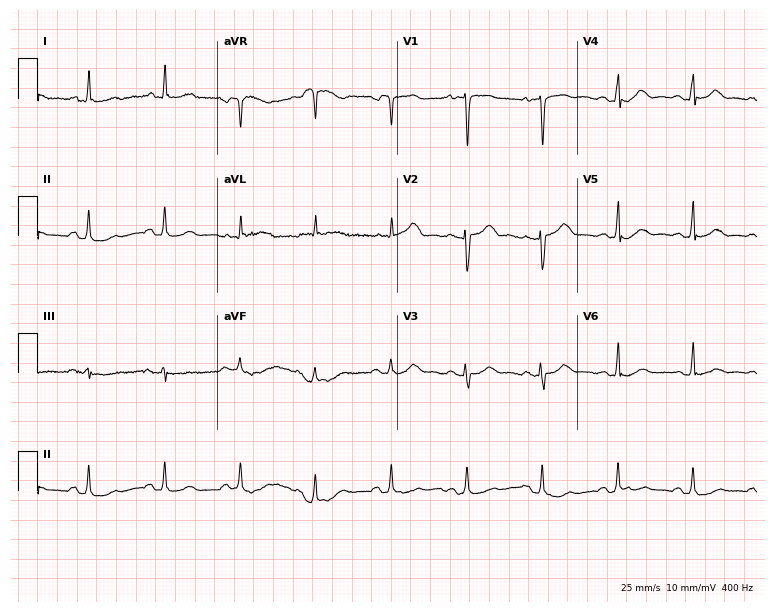
Resting 12-lead electrocardiogram (7.3-second recording at 400 Hz). Patient: a 55-year-old female. Read as a normal ECG.